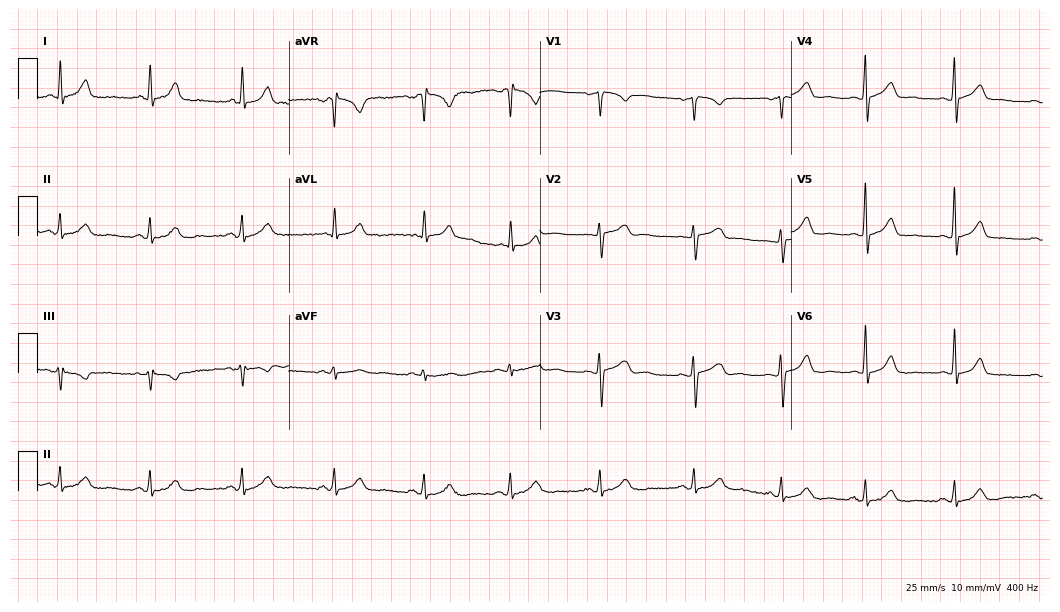
Electrocardiogram, a woman, 69 years old. Of the six screened findings (first-degree AV block, right bundle branch block, left bundle branch block, sinus bradycardia, atrial fibrillation, sinus tachycardia), none is recorded. Other findings, if any, are not listed.